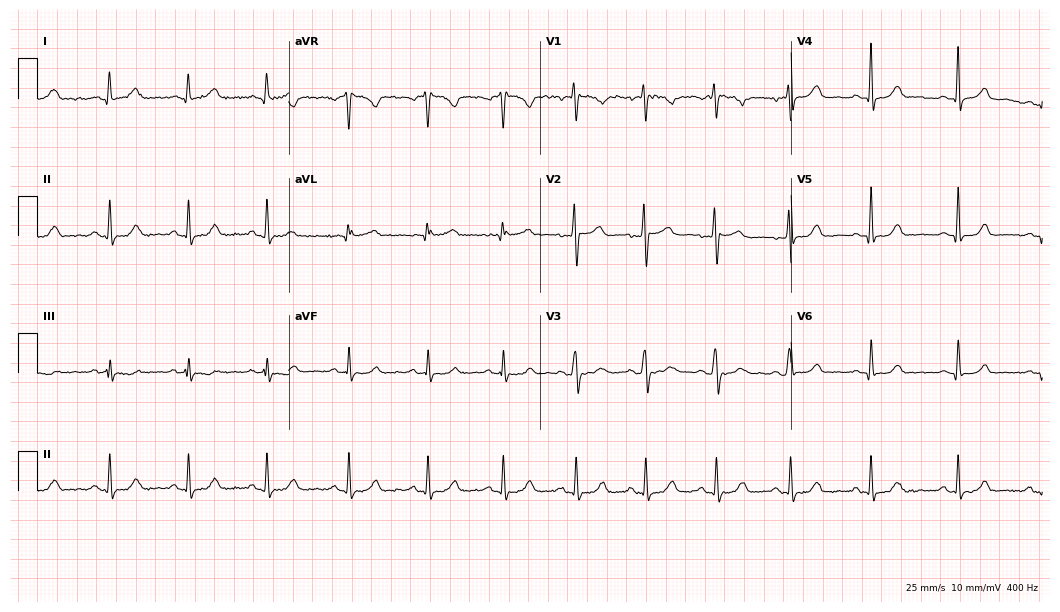
Resting 12-lead electrocardiogram (10.2-second recording at 400 Hz). Patient: a 39-year-old female. Read as a normal ECG.